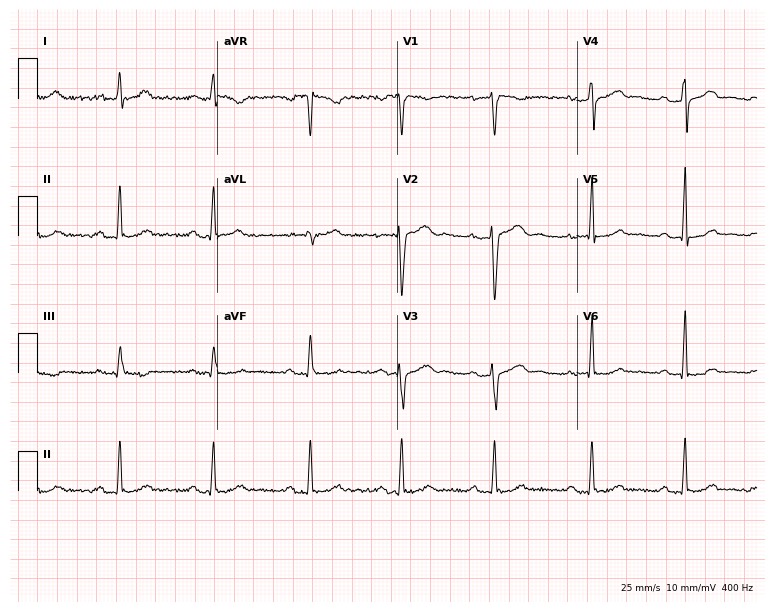
12-lead ECG (7.3-second recording at 400 Hz) from a 38-year-old male patient. Screened for six findings — first-degree AV block, right bundle branch block, left bundle branch block, sinus bradycardia, atrial fibrillation, sinus tachycardia — none is recorded.